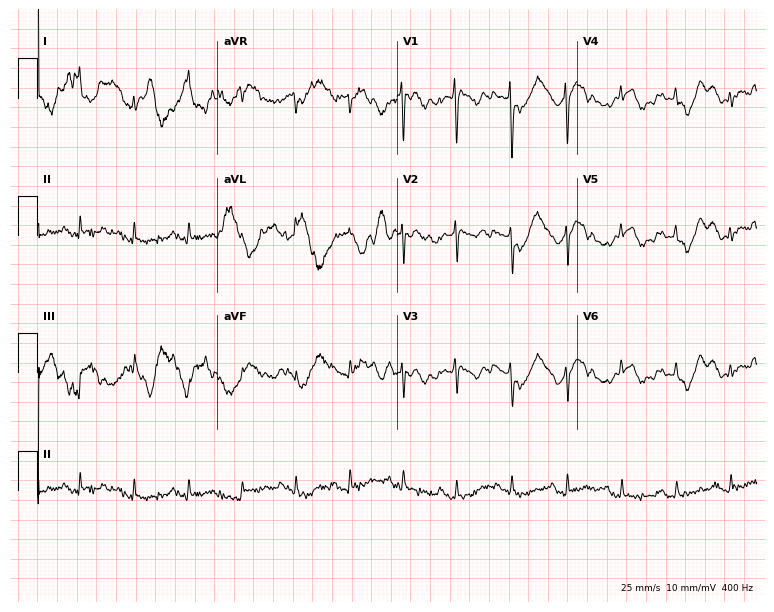
Standard 12-lead ECG recorded from a 35-year-old female patient (7.3-second recording at 400 Hz). None of these six findings is recorded: first-degree AV block, right bundle branch block (RBBB), left bundle branch block (LBBB), sinus bradycardia, atrial fibrillation (AF), sinus tachycardia.